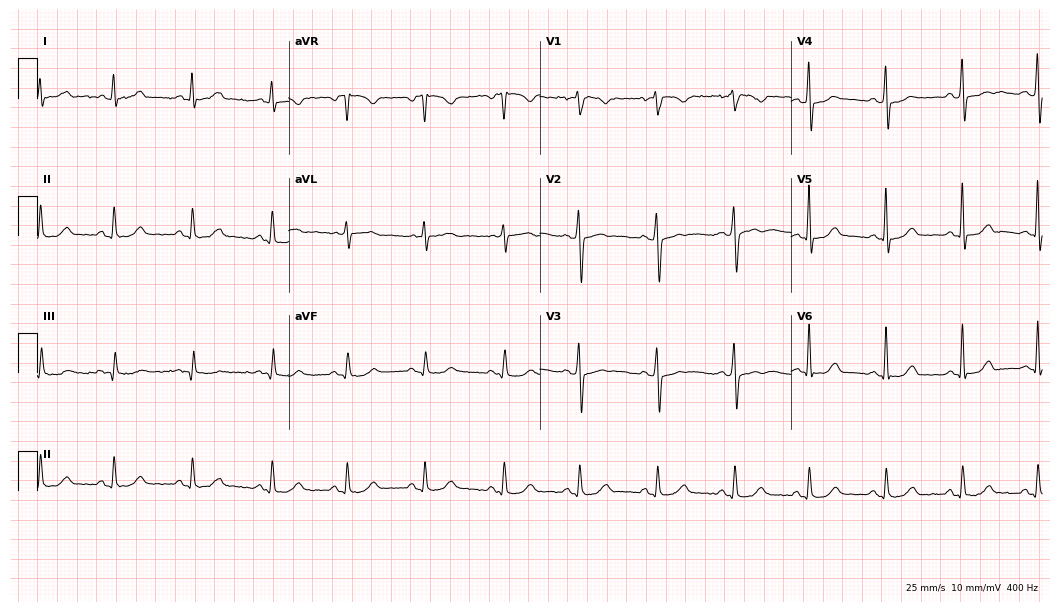
Electrocardiogram (10.2-second recording at 400 Hz), a 33-year-old woman. Overall reading on record: normal ECG.